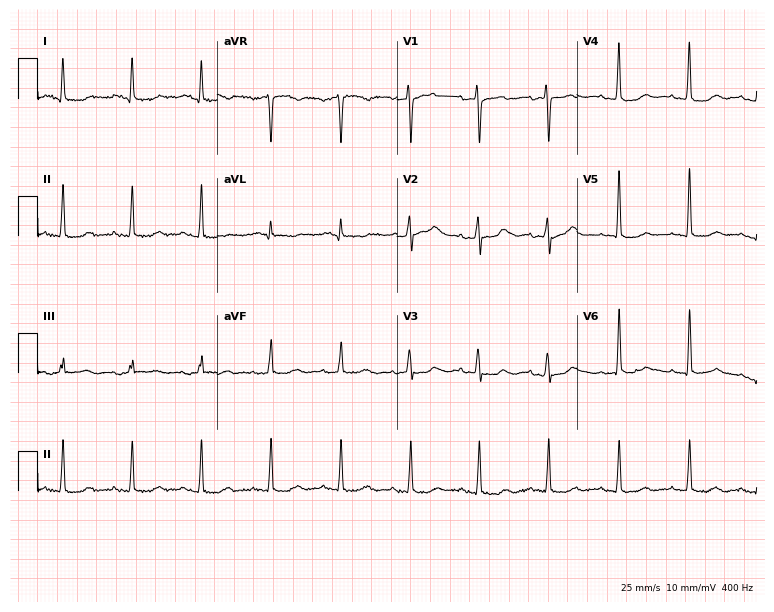
Resting 12-lead electrocardiogram (7.3-second recording at 400 Hz). Patient: an 82-year-old female. None of these six findings is recorded: first-degree AV block, right bundle branch block, left bundle branch block, sinus bradycardia, atrial fibrillation, sinus tachycardia.